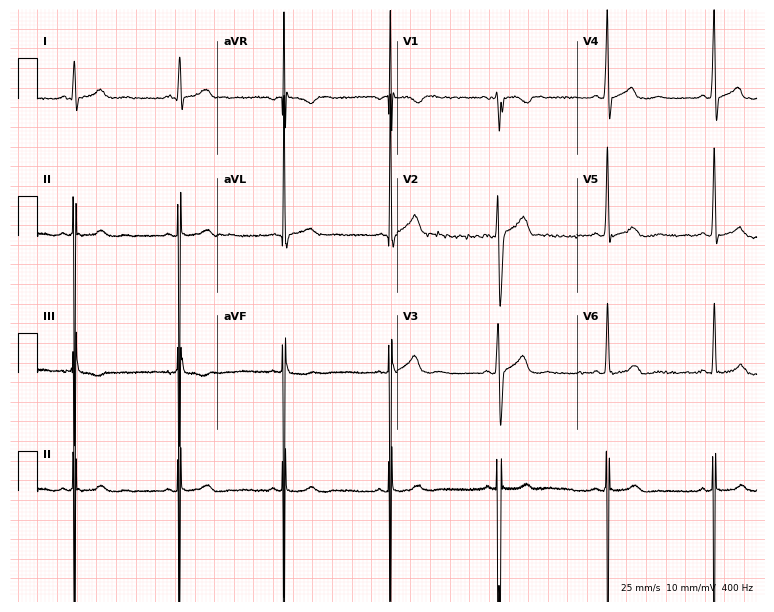
Standard 12-lead ECG recorded from a man, 30 years old. None of these six findings is recorded: first-degree AV block, right bundle branch block, left bundle branch block, sinus bradycardia, atrial fibrillation, sinus tachycardia. Only these six findings were labelled.